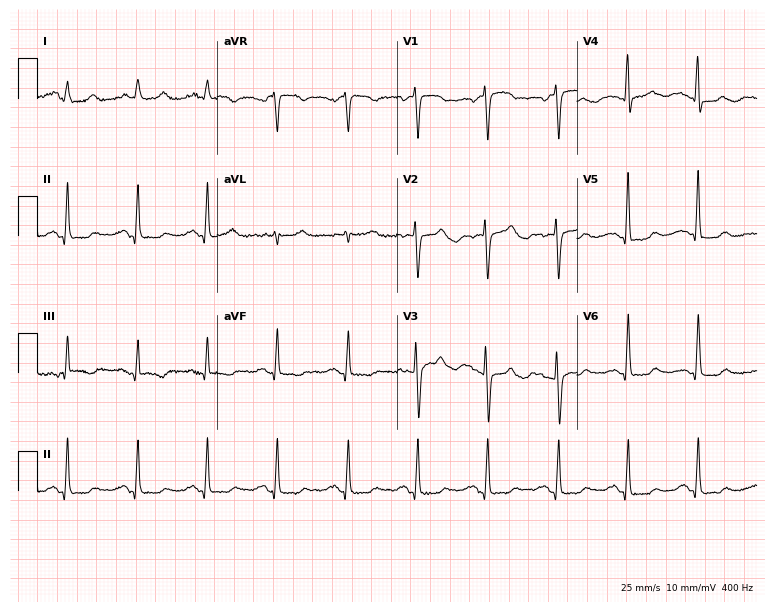
12-lead ECG from a 71-year-old female patient (7.3-second recording at 400 Hz). No first-degree AV block, right bundle branch block (RBBB), left bundle branch block (LBBB), sinus bradycardia, atrial fibrillation (AF) or sinus tachycardia recorded for this tracing. Other findings, if any, are not listed.